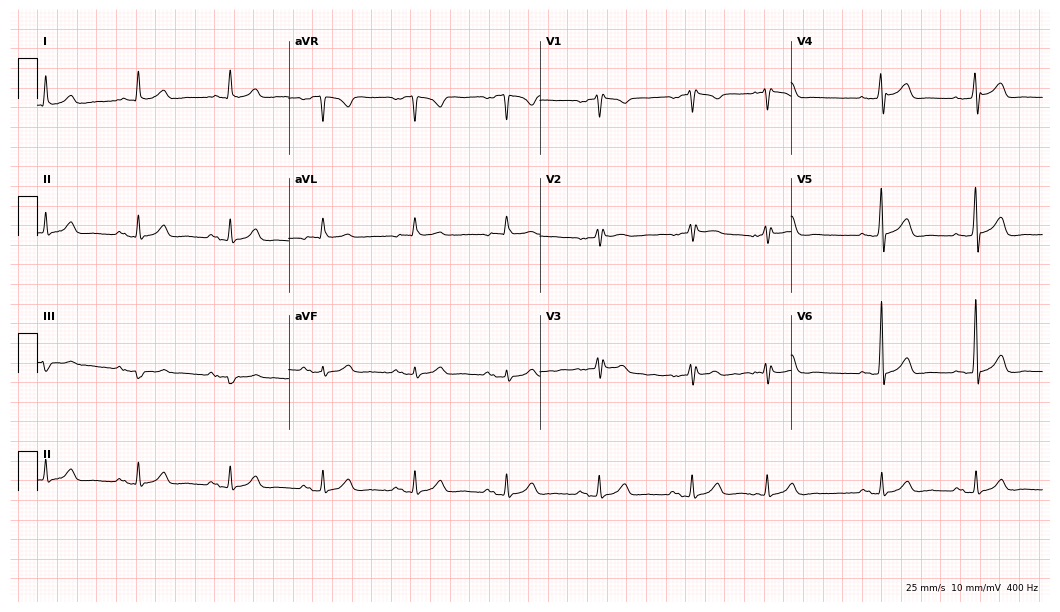
ECG (10.2-second recording at 400 Hz) — a man, 69 years old. Screened for six findings — first-degree AV block, right bundle branch block, left bundle branch block, sinus bradycardia, atrial fibrillation, sinus tachycardia — none is recorded.